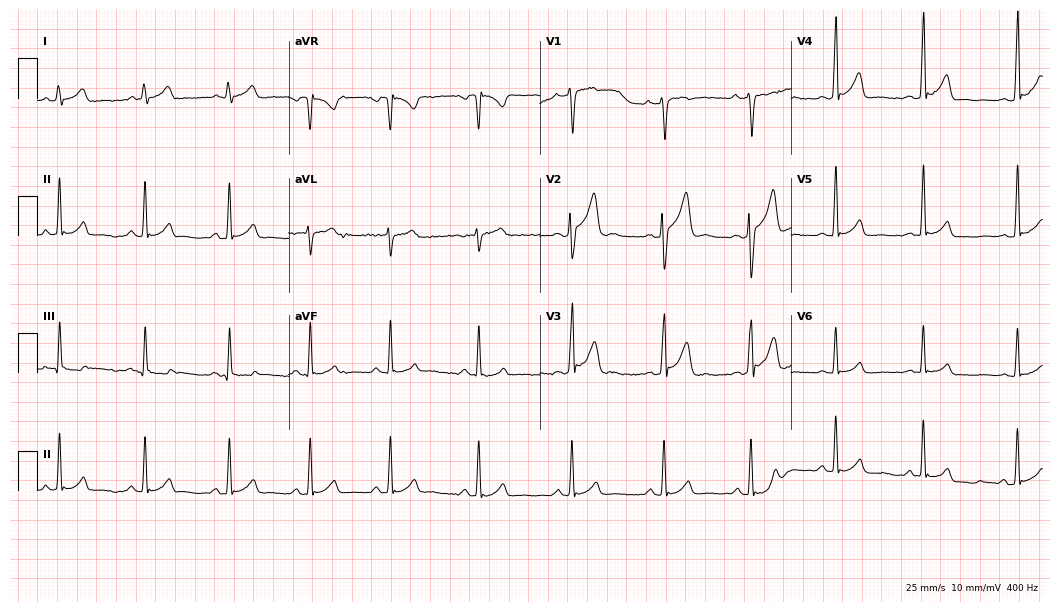
Resting 12-lead electrocardiogram. Patient: a 24-year-old man. None of these six findings is recorded: first-degree AV block, right bundle branch block (RBBB), left bundle branch block (LBBB), sinus bradycardia, atrial fibrillation (AF), sinus tachycardia.